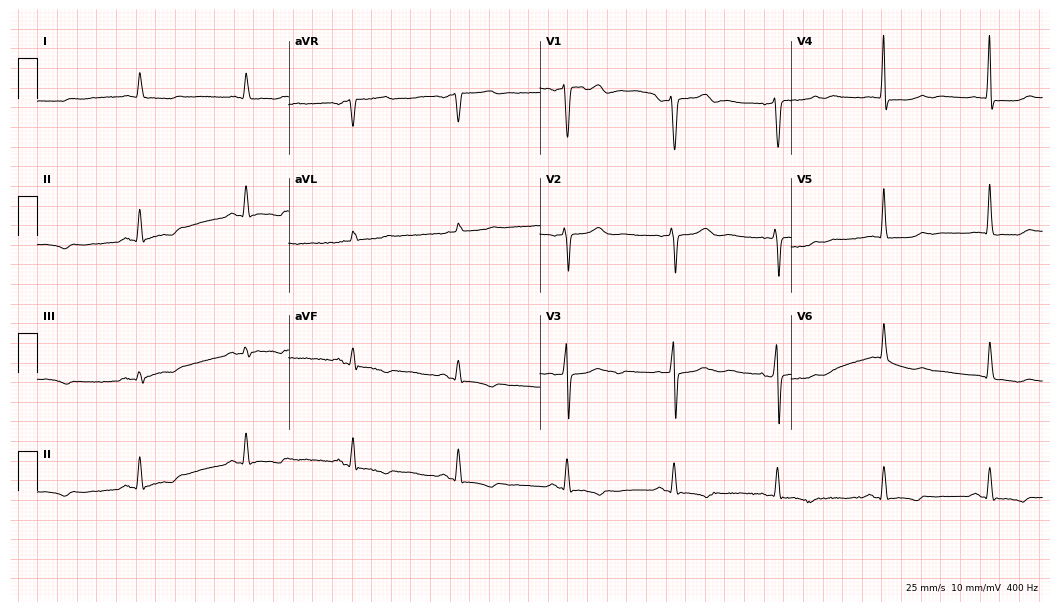
Resting 12-lead electrocardiogram (10.2-second recording at 400 Hz). Patient: a male, 85 years old. None of these six findings is recorded: first-degree AV block, right bundle branch block, left bundle branch block, sinus bradycardia, atrial fibrillation, sinus tachycardia. Only these six findings were labelled.